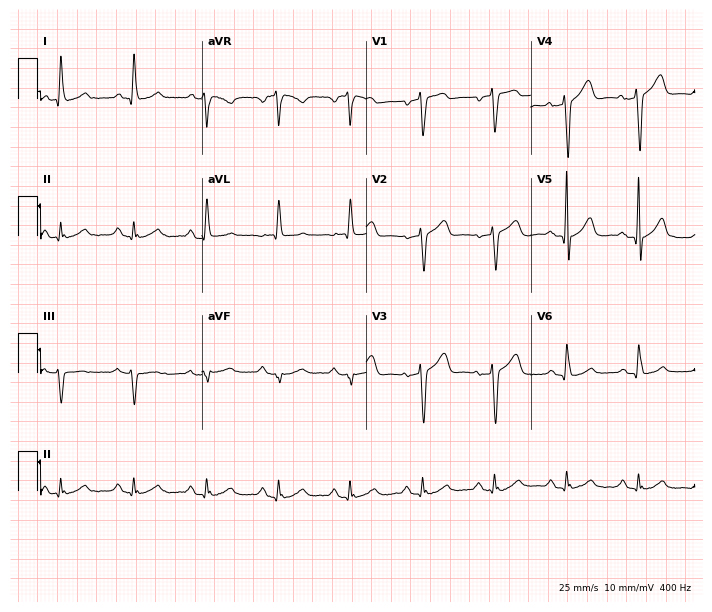
ECG (6.7-second recording at 400 Hz) — a man, 68 years old. Screened for six findings — first-degree AV block, right bundle branch block, left bundle branch block, sinus bradycardia, atrial fibrillation, sinus tachycardia — none is recorded. Other findings, if any, are not listed.